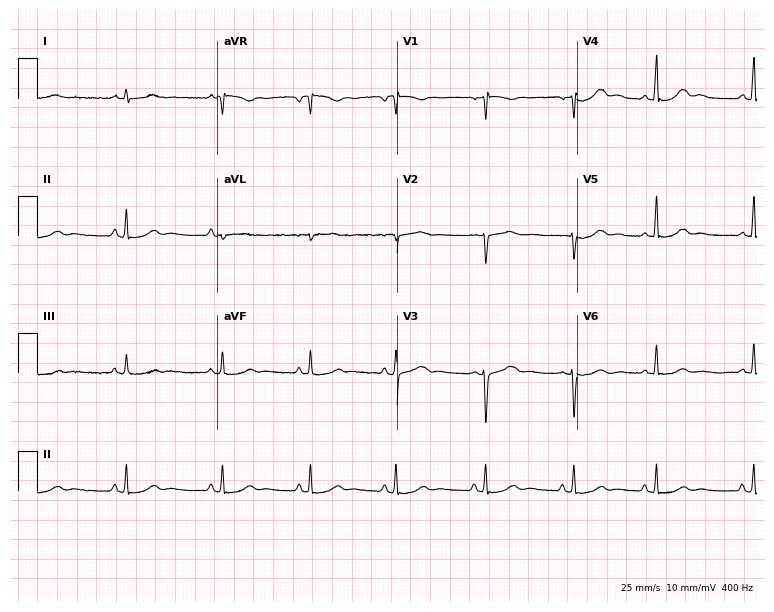
Electrocardiogram (7.3-second recording at 400 Hz), a woman, 28 years old. Of the six screened findings (first-degree AV block, right bundle branch block (RBBB), left bundle branch block (LBBB), sinus bradycardia, atrial fibrillation (AF), sinus tachycardia), none is recorded. Only these six findings were labelled.